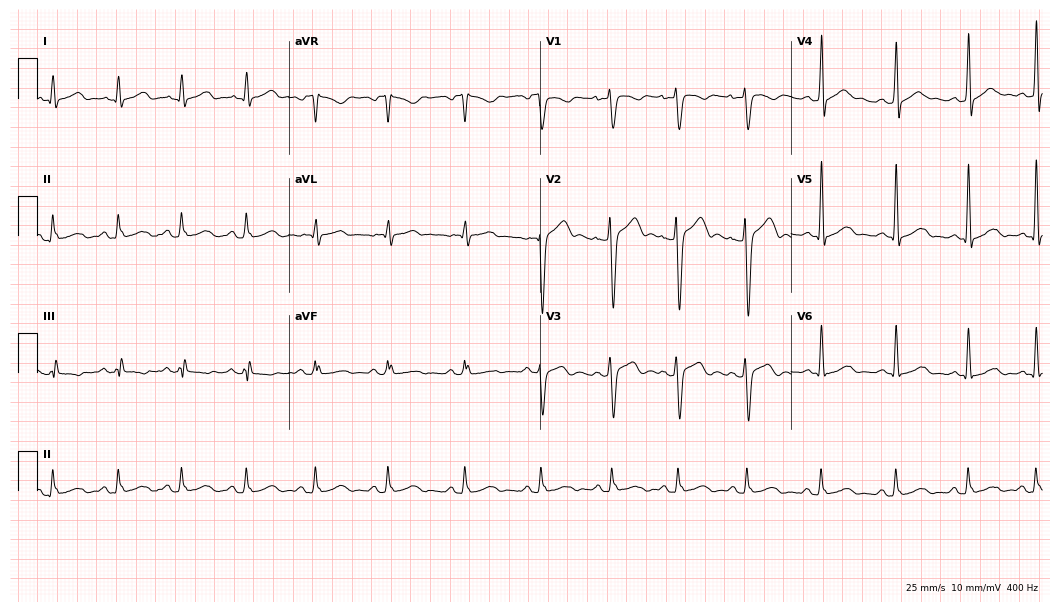
12-lead ECG (10.2-second recording at 400 Hz) from a 22-year-old male. Labelled as a normal ECG.